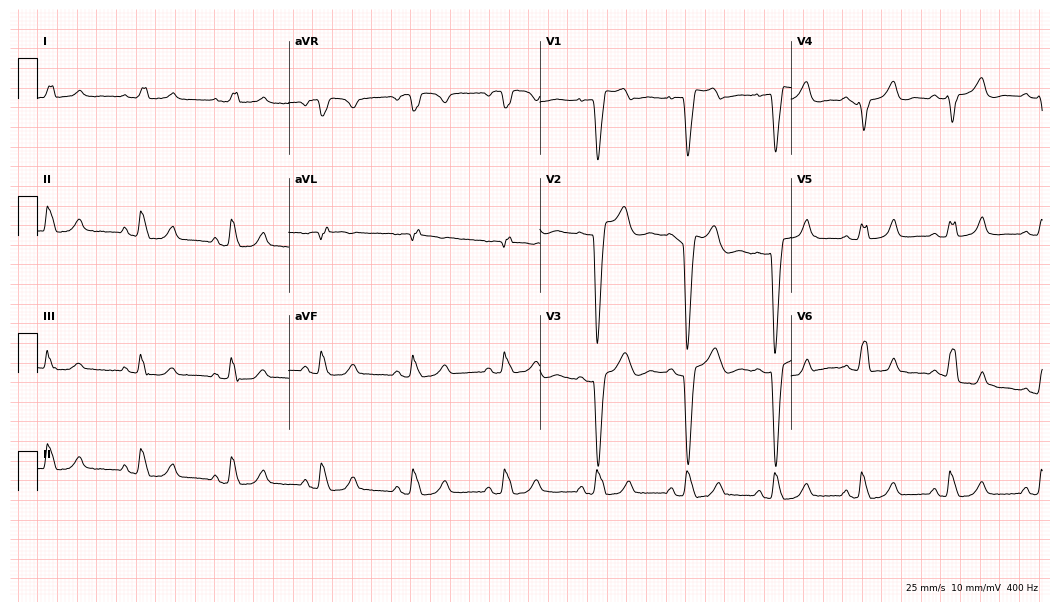
12-lead ECG from a 50-year-old female patient. Findings include left bundle branch block.